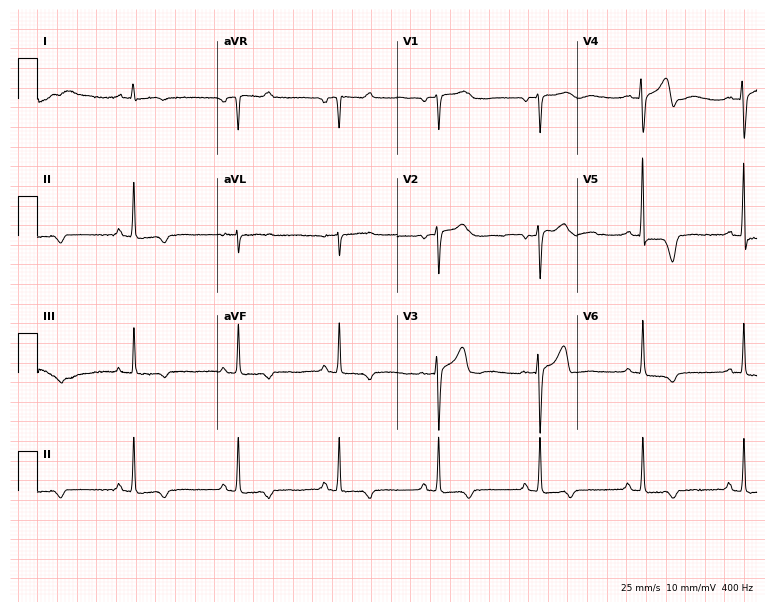
ECG (7.3-second recording at 400 Hz) — a 61-year-old female patient. Screened for six findings — first-degree AV block, right bundle branch block, left bundle branch block, sinus bradycardia, atrial fibrillation, sinus tachycardia — none is recorded.